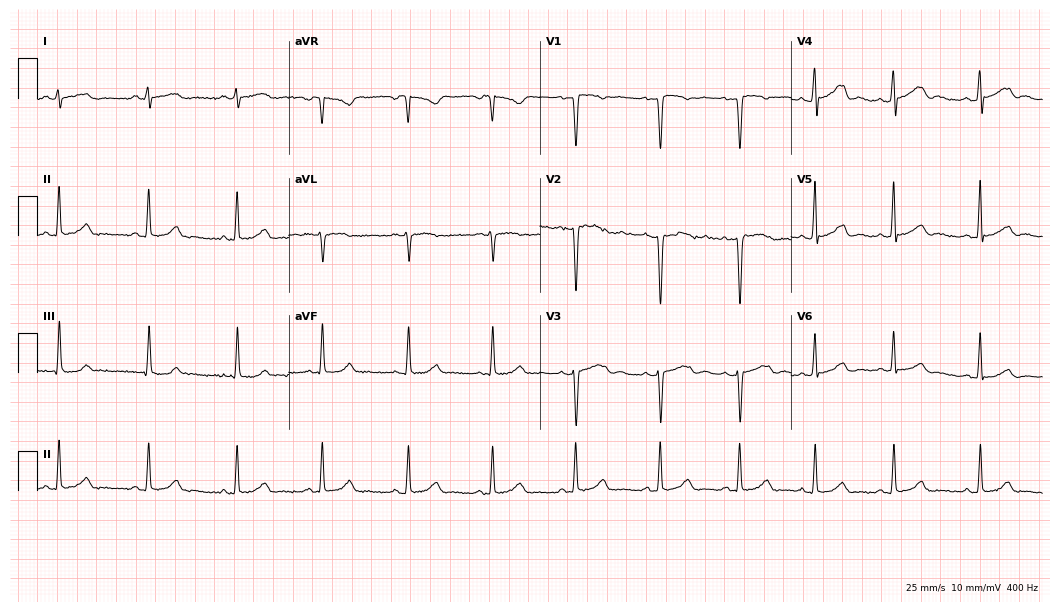
12-lead ECG from a 28-year-old female (10.2-second recording at 400 Hz). No first-degree AV block, right bundle branch block, left bundle branch block, sinus bradycardia, atrial fibrillation or sinus tachycardia recorded for this tracing. Only these six findings were labelled.